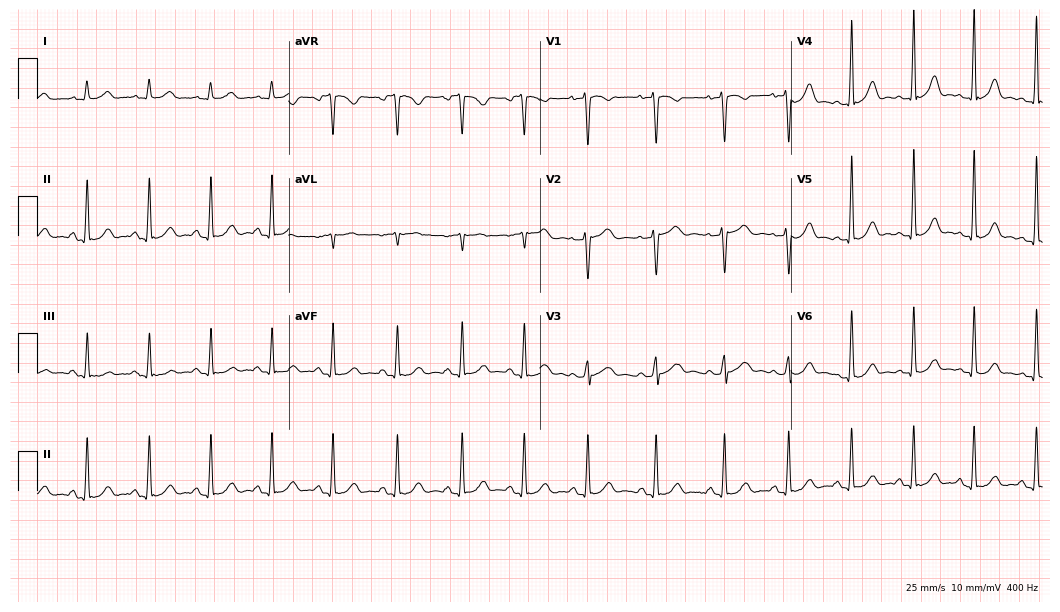
ECG — a 21-year-old female. Labelled as a normal ECG.